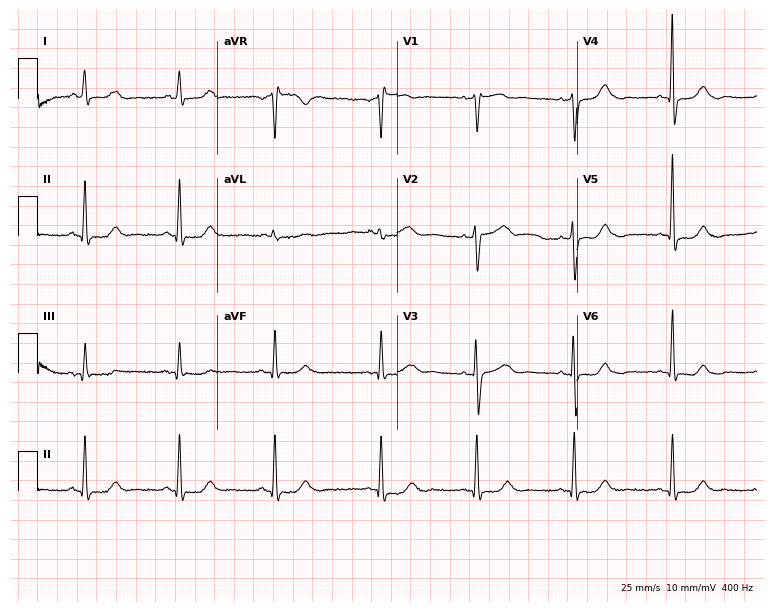
12-lead ECG (7.3-second recording at 400 Hz) from a 67-year-old woman. Screened for six findings — first-degree AV block, right bundle branch block, left bundle branch block, sinus bradycardia, atrial fibrillation, sinus tachycardia — none is recorded.